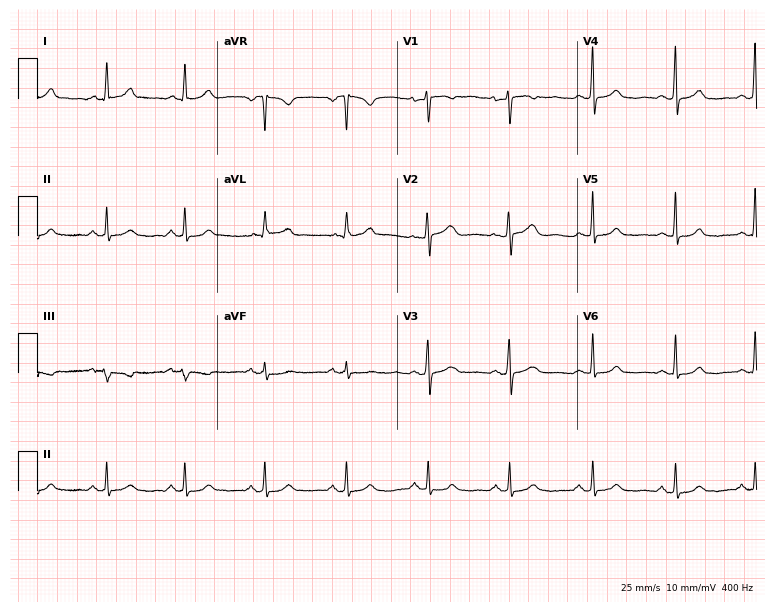
Electrocardiogram (7.3-second recording at 400 Hz), a female, 50 years old. Overall reading on record: normal ECG.